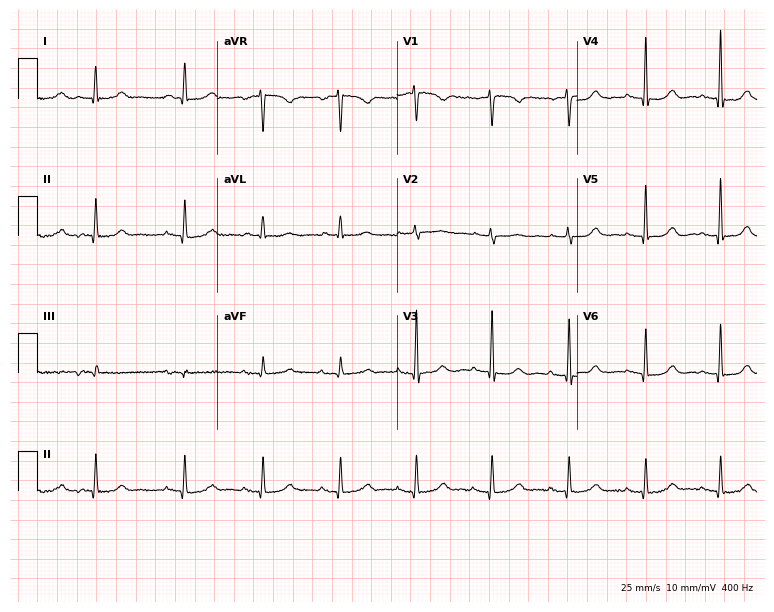
Standard 12-lead ECG recorded from a female, 82 years old (7.3-second recording at 400 Hz). Read as a normal ECG.